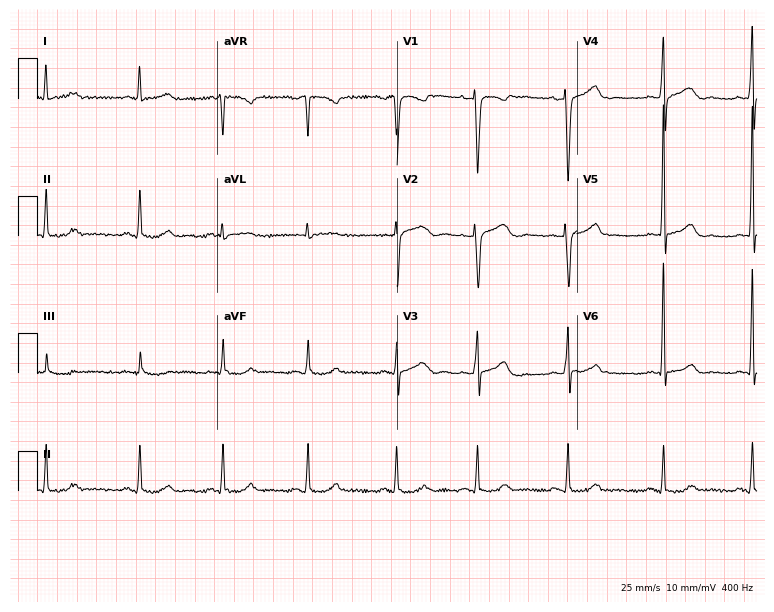
Resting 12-lead electrocardiogram. Patient: a female, 32 years old. None of these six findings is recorded: first-degree AV block, right bundle branch block, left bundle branch block, sinus bradycardia, atrial fibrillation, sinus tachycardia.